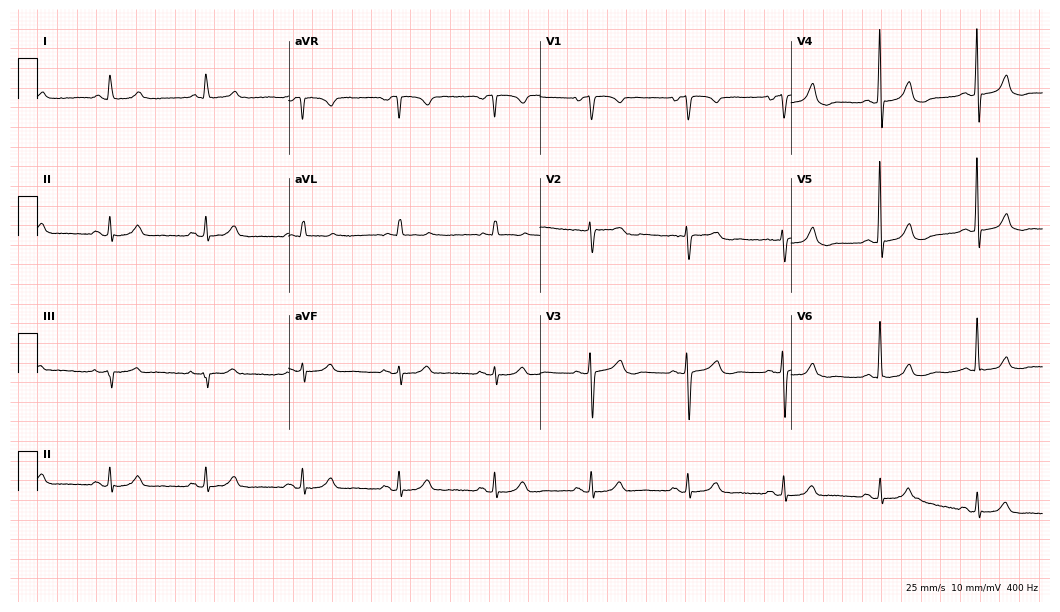
ECG (10.2-second recording at 400 Hz) — a female patient, 84 years old. Labelled as a normal ECG.